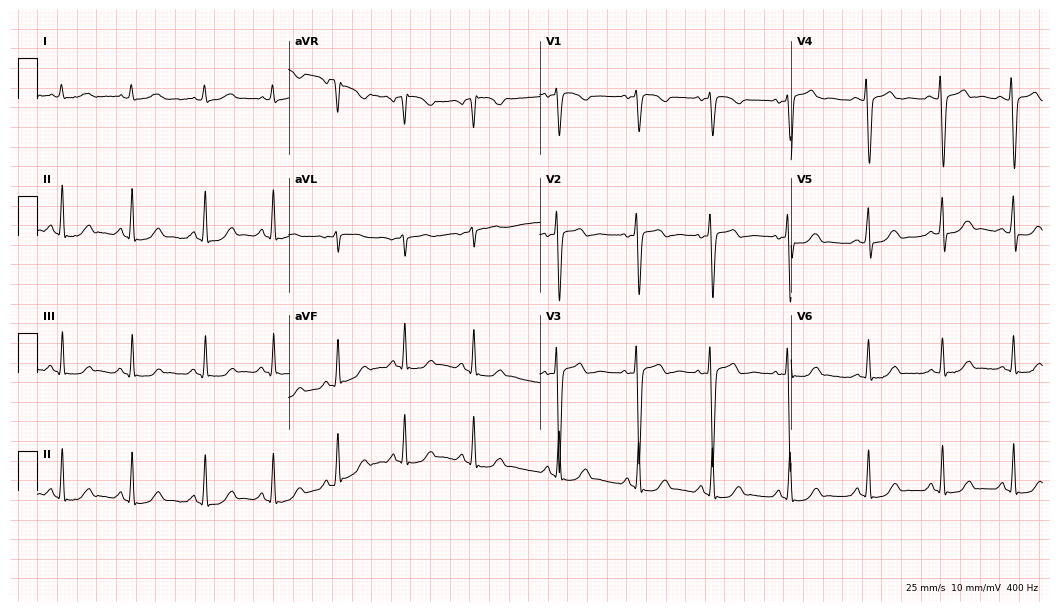
Electrocardiogram (10.2-second recording at 400 Hz), a female, 17 years old. Overall reading on record: normal ECG.